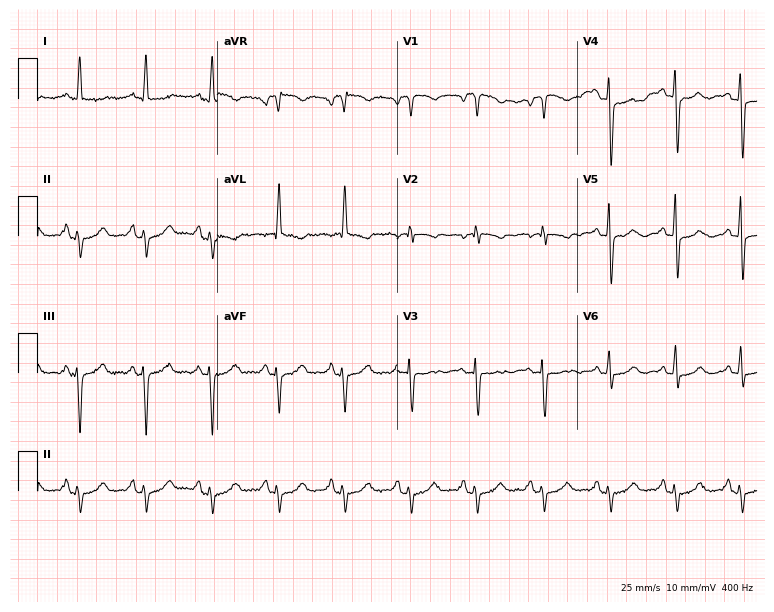
12-lead ECG from a woman, 74 years old. Screened for six findings — first-degree AV block, right bundle branch block, left bundle branch block, sinus bradycardia, atrial fibrillation, sinus tachycardia — none is recorded.